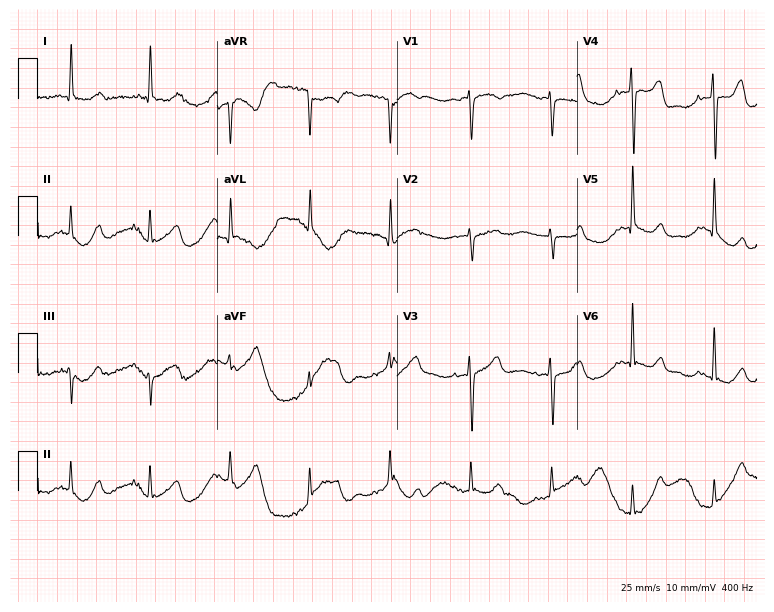
Standard 12-lead ECG recorded from a woman, 82 years old (7.3-second recording at 400 Hz). None of these six findings is recorded: first-degree AV block, right bundle branch block, left bundle branch block, sinus bradycardia, atrial fibrillation, sinus tachycardia. Findings outside these six are not listed.